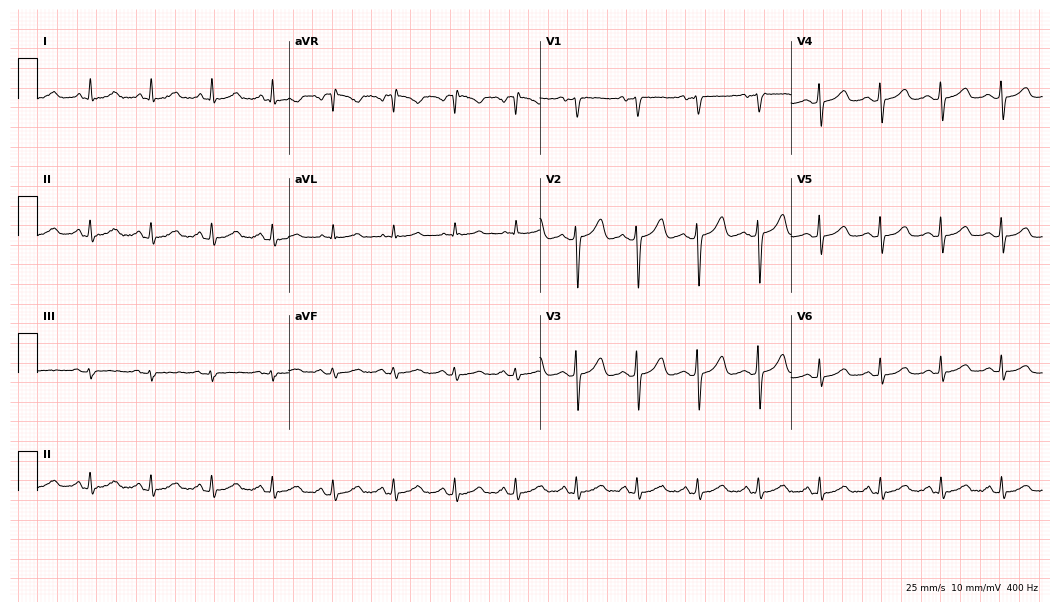
12-lead ECG from a 25-year-old woman (10.2-second recording at 400 Hz). Recorded interpretation: within normal limits.